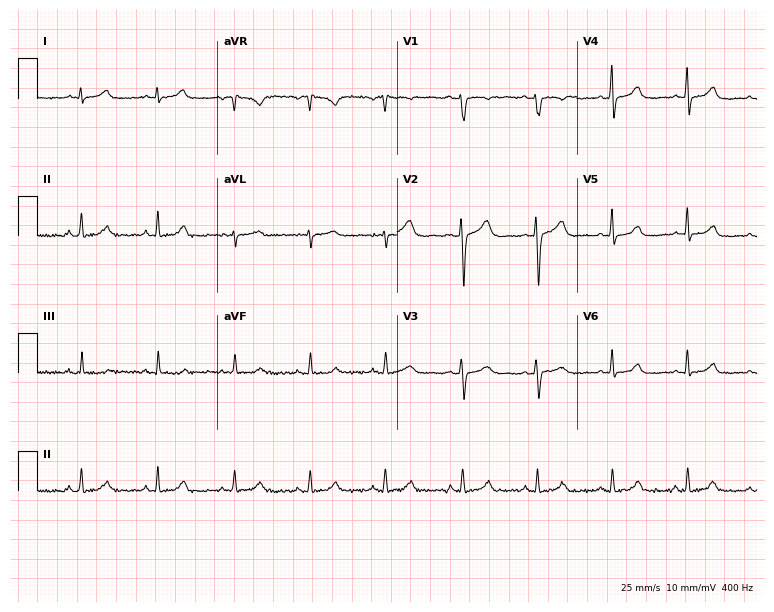
12-lead ECG from a female, 44 years old. Labelled as a normal ECG.